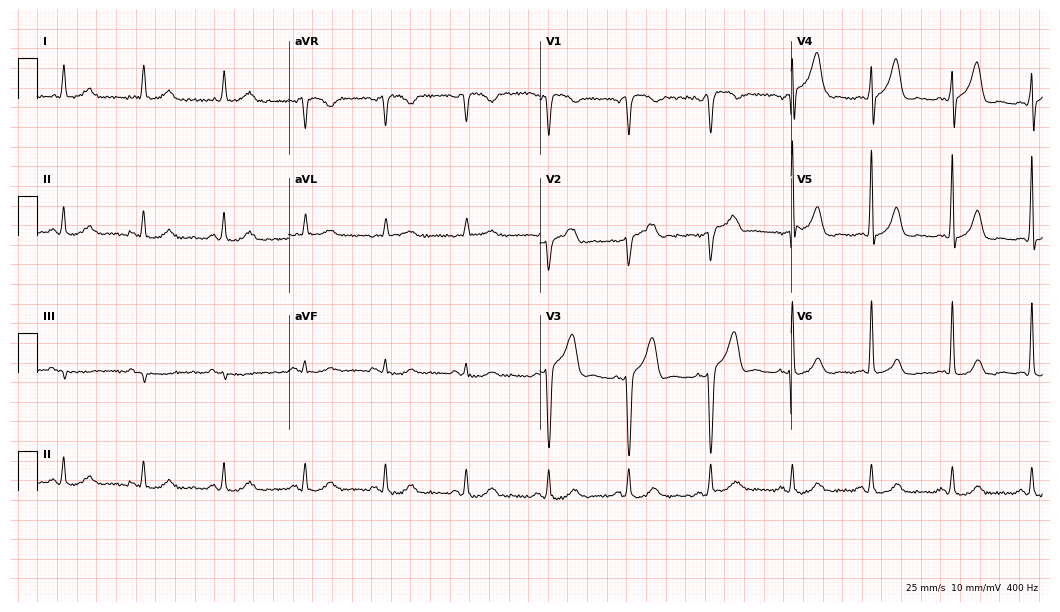
12-lead ECG (10.2-second recording at 400 Hz) from a man, 71 years old. Screened for six findings — first-degree AV block, right bundle branch block, left bundle branch block, sinus bradycardia, atrial fibrillation, sinus tachycardia — none is recorded. Other findings, if any, are not listed.